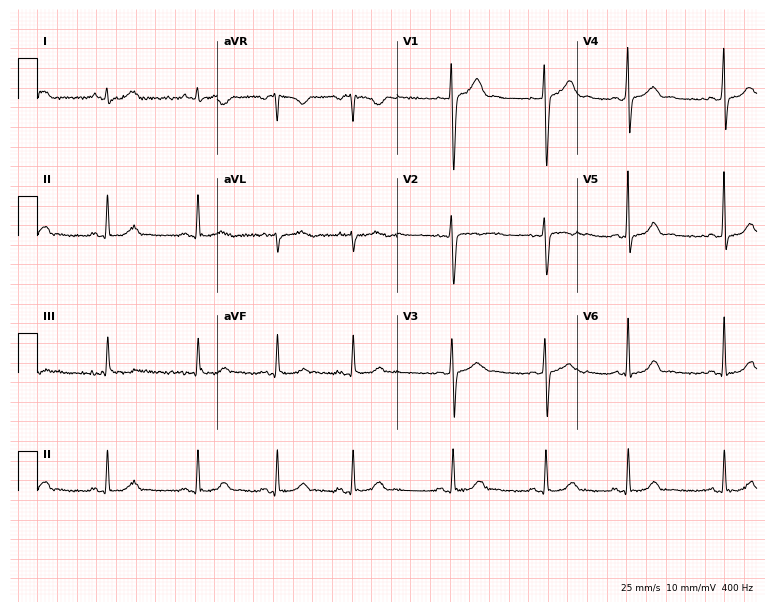
ECG (7.3-second recording at 400 Hz) — a 26-year-old female patient. Labelled as a normal ECG.